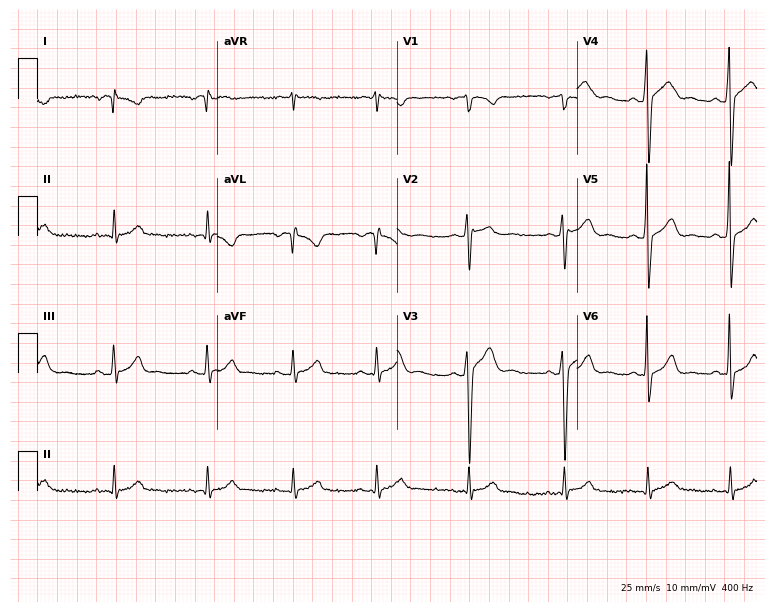
Standard 12-lead ECG recorded from a male, 18 years old (7.3-second recording at 400 Hz). Read as a normal ECG.